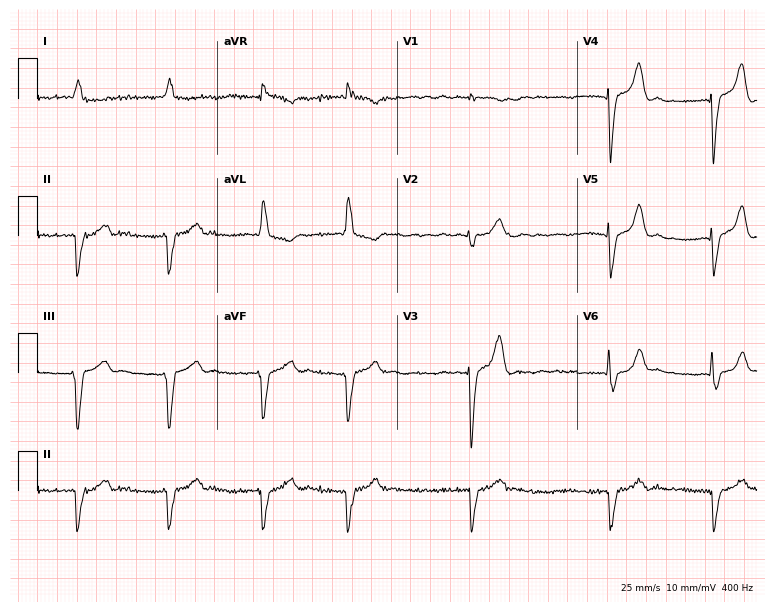
Electrocardiogram (7.3-second recording at 400 Hz), a man, 78 years old. Interpretation includes left bundle branch block (LBBB).